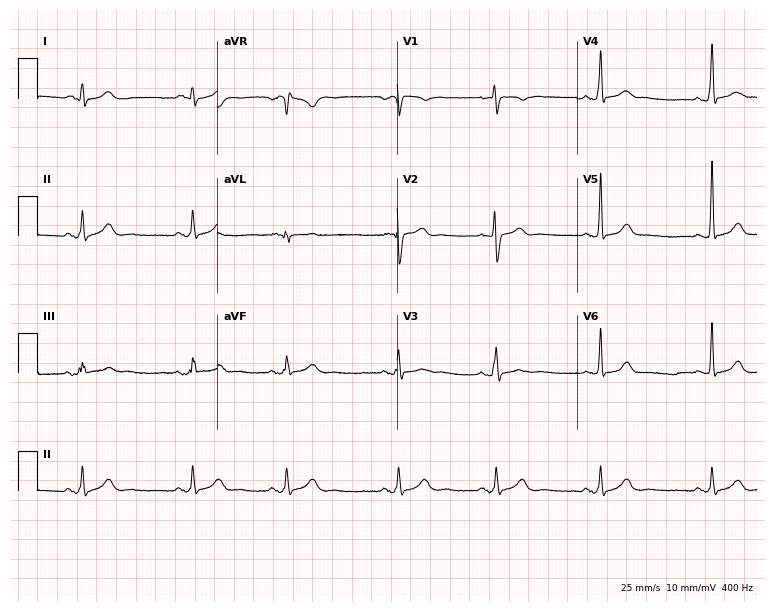
12-lead ECG from an 18-year-old male (7.3-second recording at 400 Hz). Recorded interpretation: within normal limits.